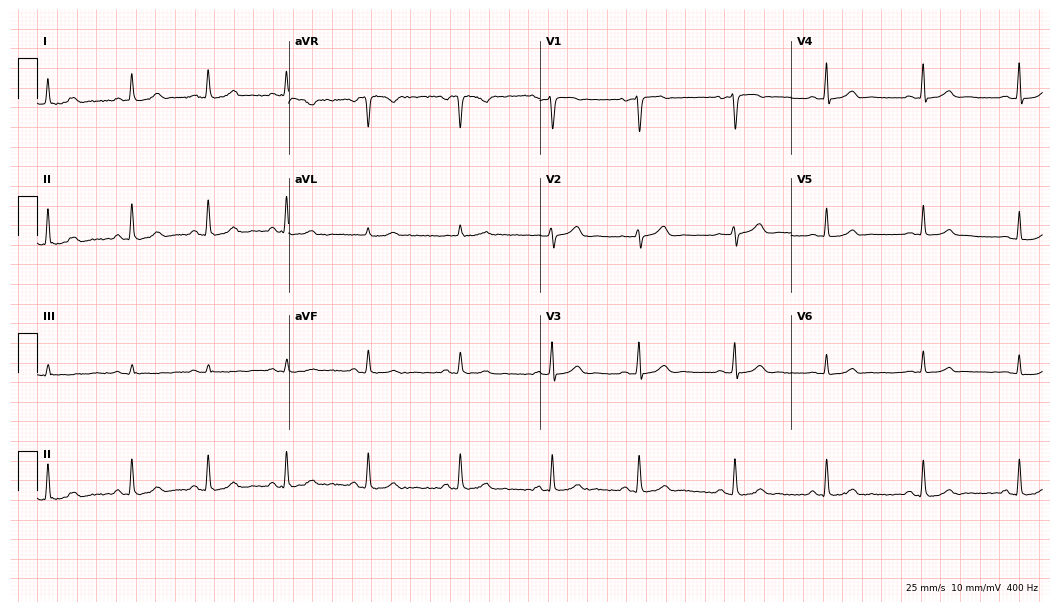
12-lead ECG (10.2-second recording at 400 Hz) from a woman, 29 years old. Screened for six findings — first-degree AV block, right bundle branch block, left bundle branch block, sinus bradycardia, atrial fibrillation, sinus tachycardia — none is recorded. Only these six findings were labelled.